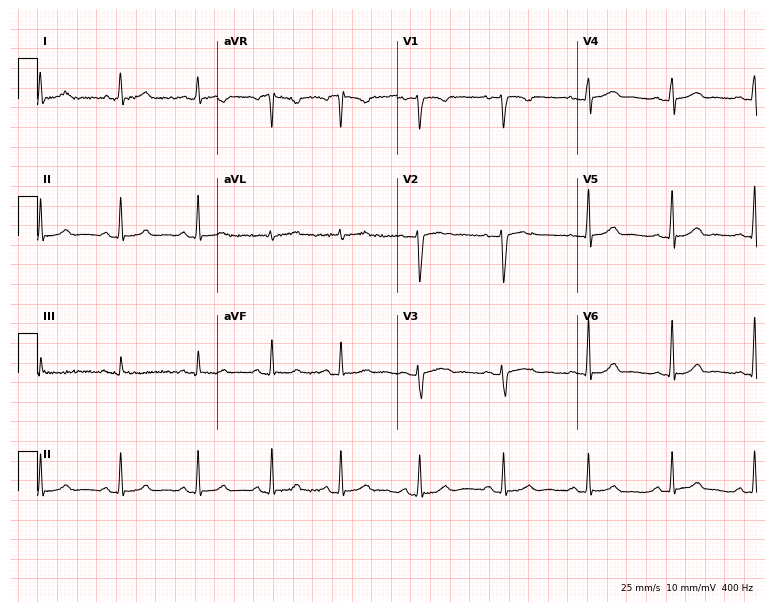
12-lead ECG from a 31-year-old woman. Labelled as a normal ECG.